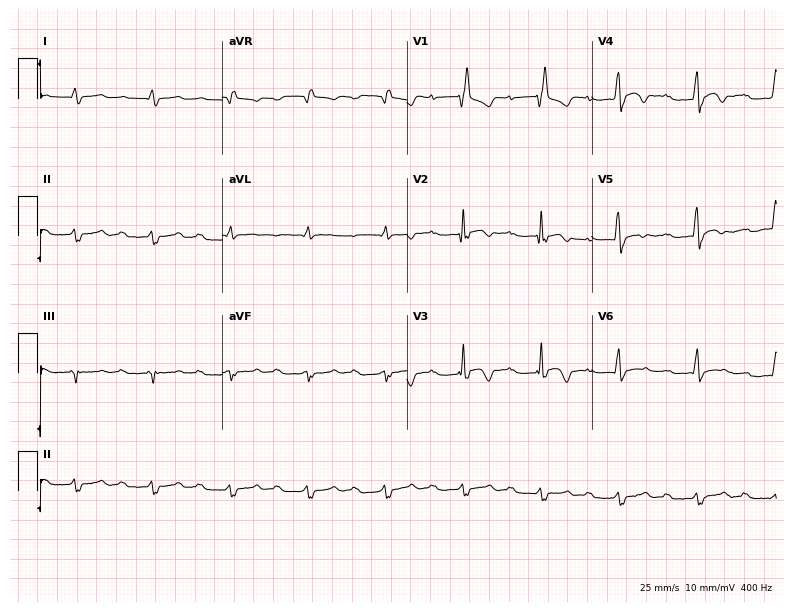
12-lead ECG from a 47-year-old male patient. No first-degree AV block, right bundle branch block, left bundle branch block, sinus bradycardia, atrial fibrillation or sinus tachycardia recorded for this tracing. Only these six findings were labelled.